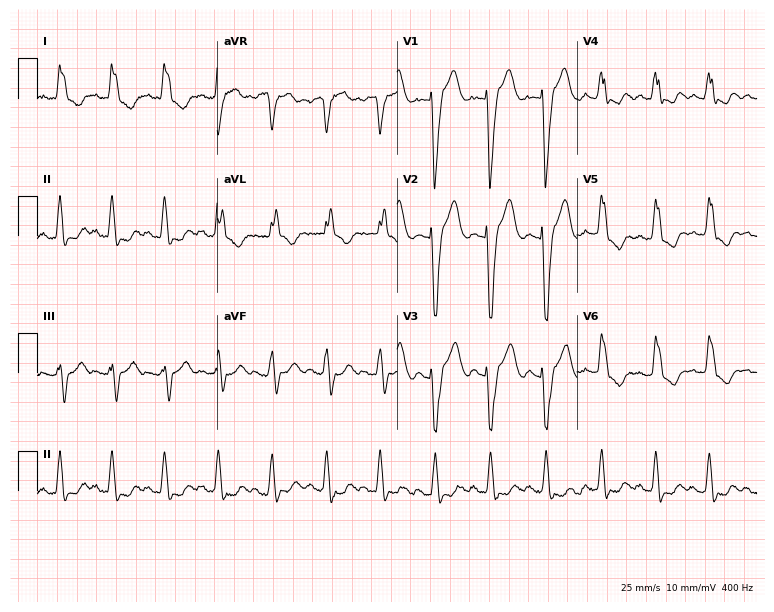
12-lead ECG from a 62-year-old female patient. Shows left bundle branch block, sinus tachycardia (a sinus rate of 100 beats per minute or more).